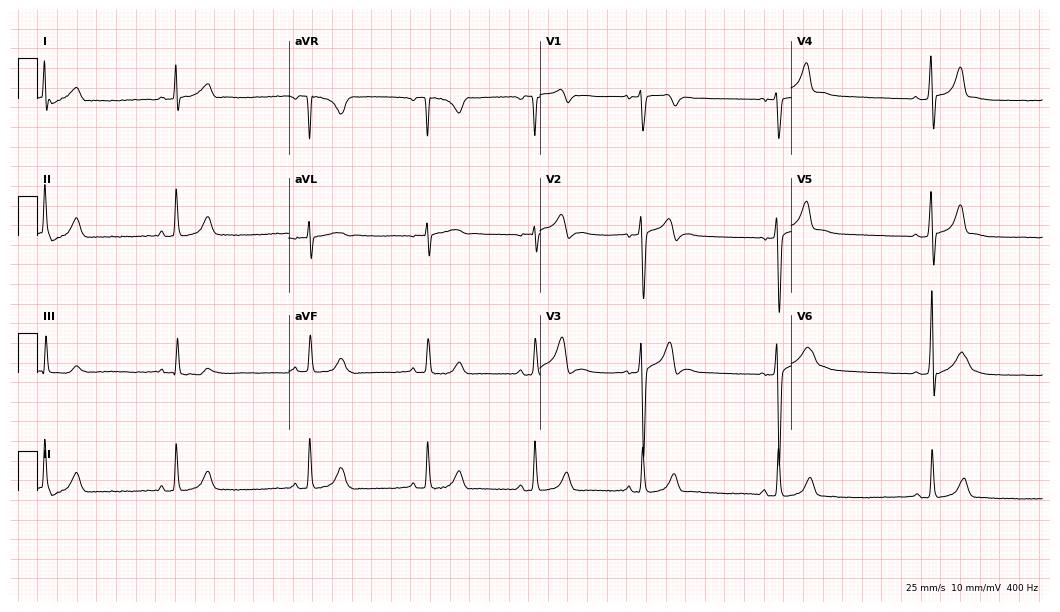
Standard 12-lead ECG recorded from a male patient, 19 years old. Read as a normal ECG.